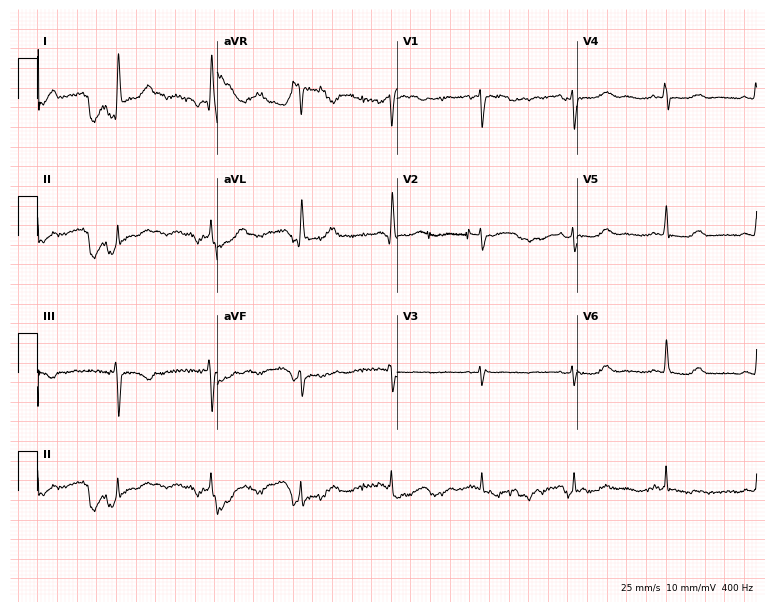
12-lead ECG from a 56-year-old female patient (7.3-second recording at 400 Hz). No first-degree AV block, right bundle branch block (RBBB), left bundle branch block (LBBB), sinus bradycardia, atrial fibrillation (AF) or sinus tachycardia recorded for this tracing.